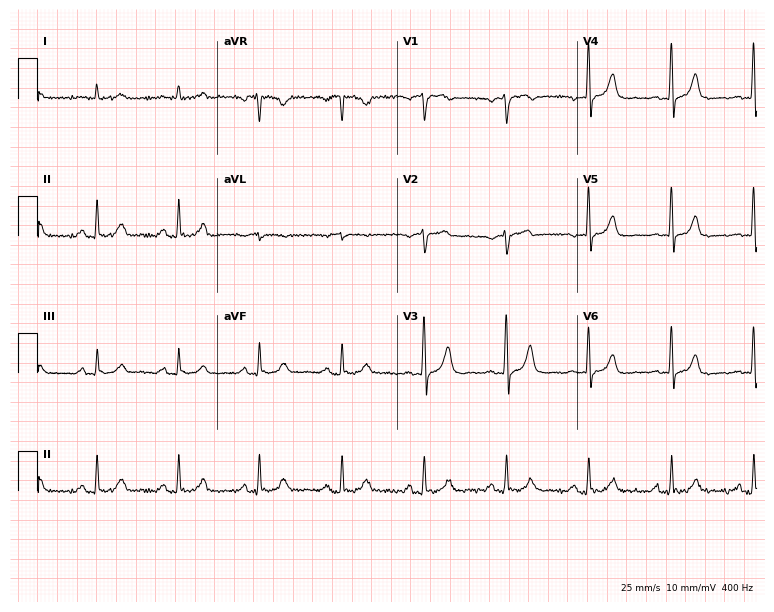
ECG — a 62-year-old male. Labelled as a normal ECG.